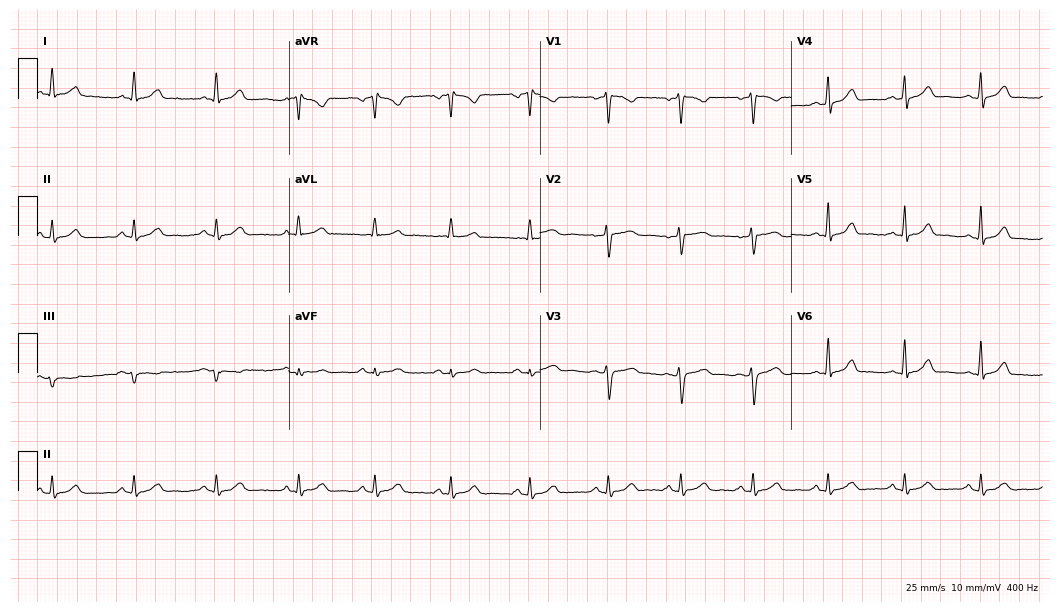
ECG — a female, 54 years old. Screened for six findings — first-degree AV block, right bundle branch block, left bundle branch block, sinus bradycardia, atrial fibrillation, sinus tachycardia — none is recorded.